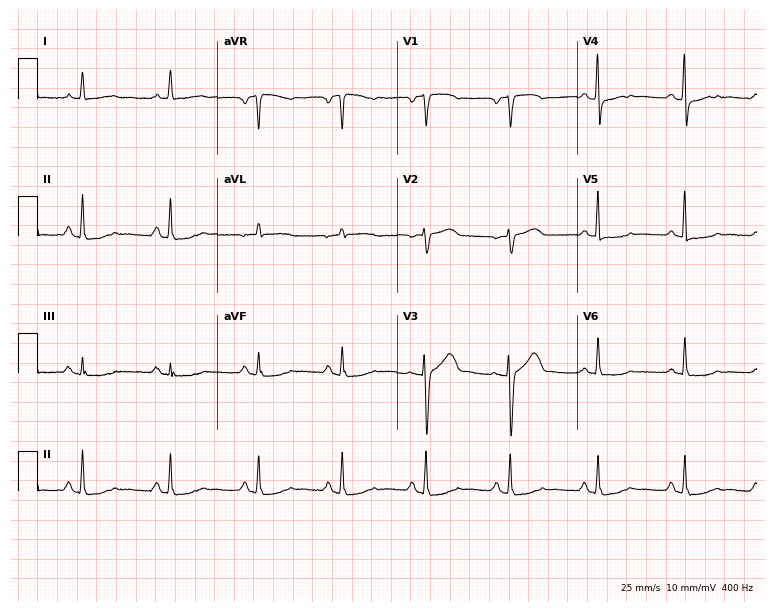
12-lead ECG from a female patient, 60 years old. Recorded interpretation: within normal limits.